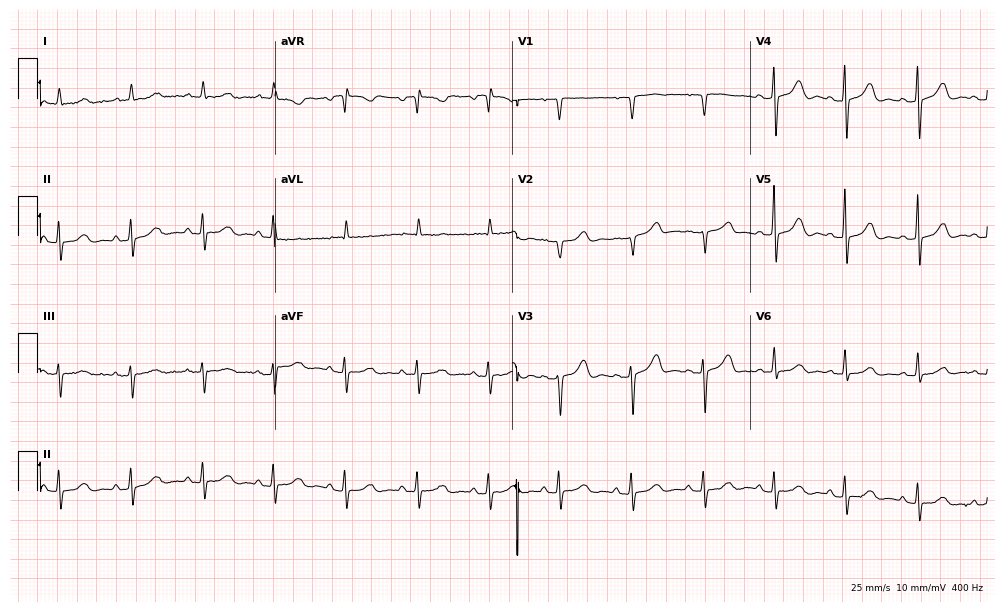
12-lead ECG from an 85-year-old female patient. Labelled as a normal ECG.